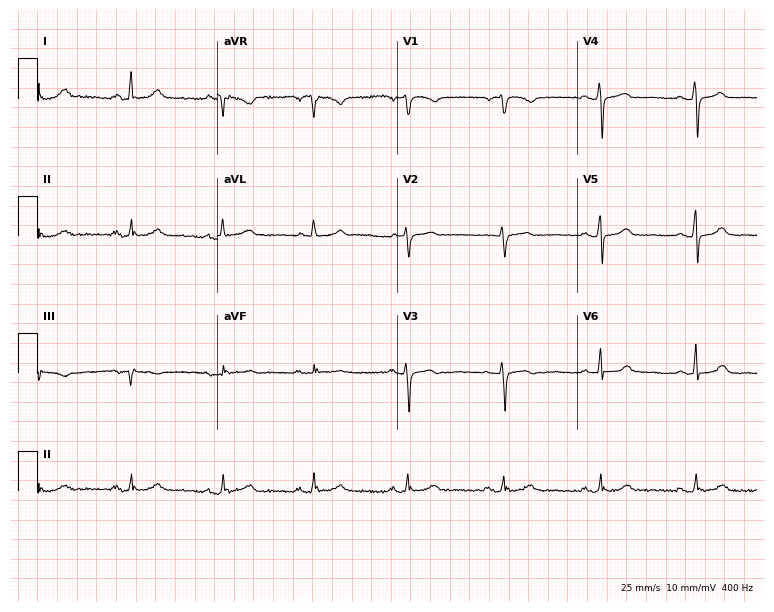
12-lead ECG from a female, 48 years old. Labelled as a normal ECG.